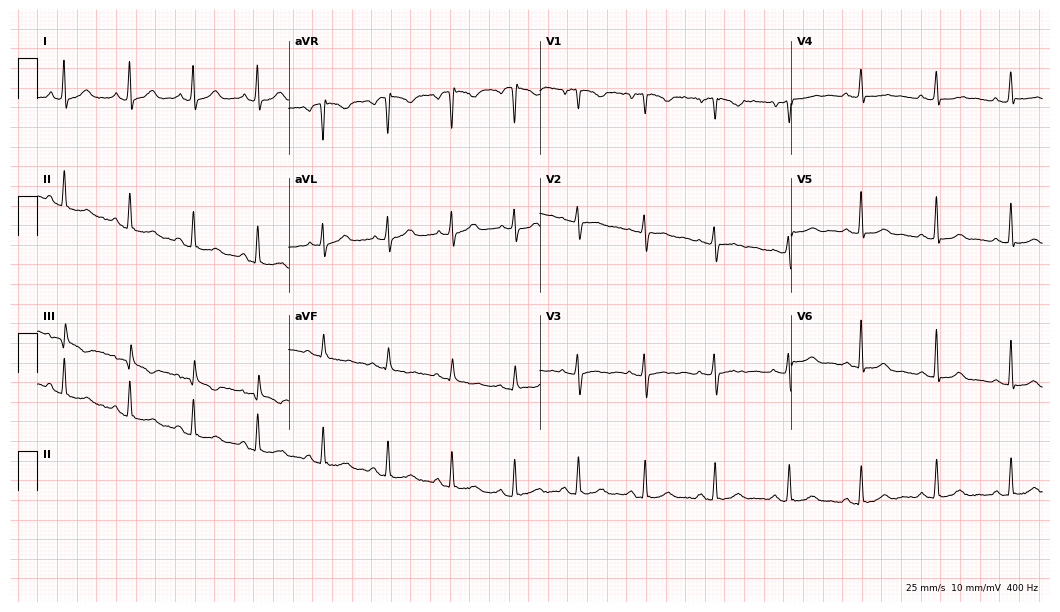
Standard 12-lead ECG recorded from a 43-year-old female. Read as a normal ECG.